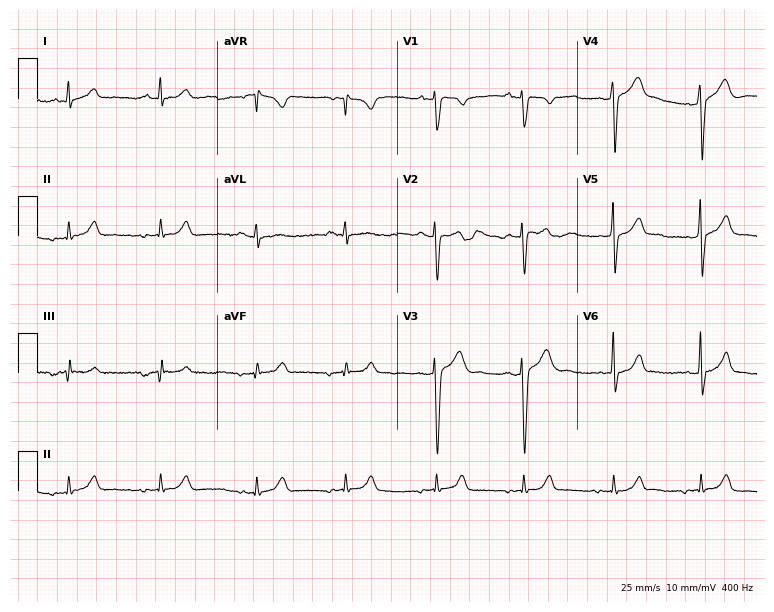
Electrocardiogram, a 30-year-old man. Of the six screened findings (first-degree AV block, right bundle branch block, left bundle branch block, sinus bradycardia, atrial fibrillation, sinus tachycardia), none is recorded.